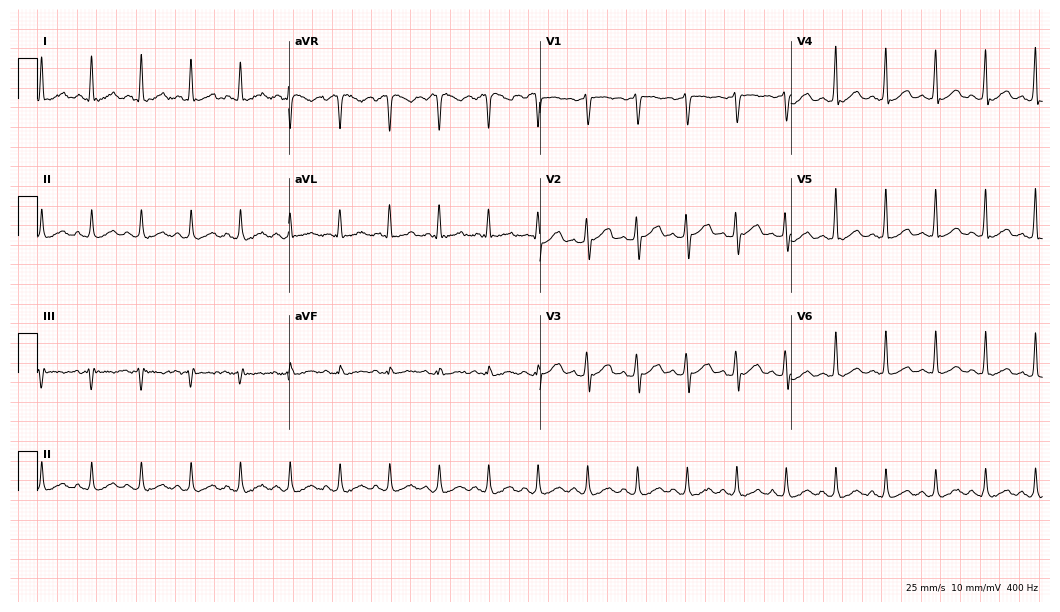
Standard 12-lead ECG recorded from a 42-year-old female patient. The tracing shows sinus tachycardia (a sinus rate of 100 beats per minute or more).